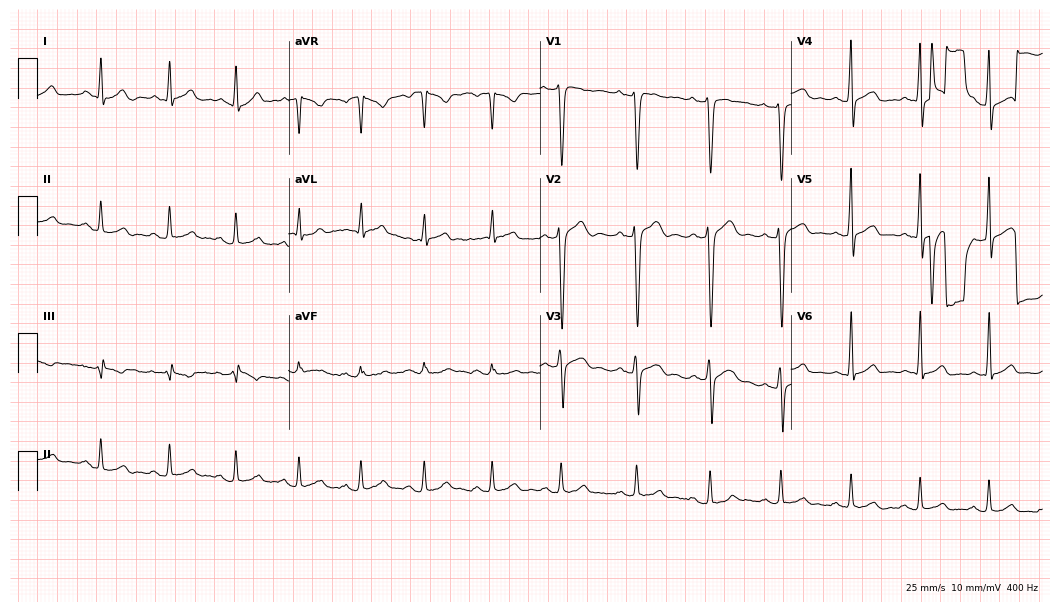
Electrocardiogram, a man, 30 years old. Overall reading on record: normal ECG.